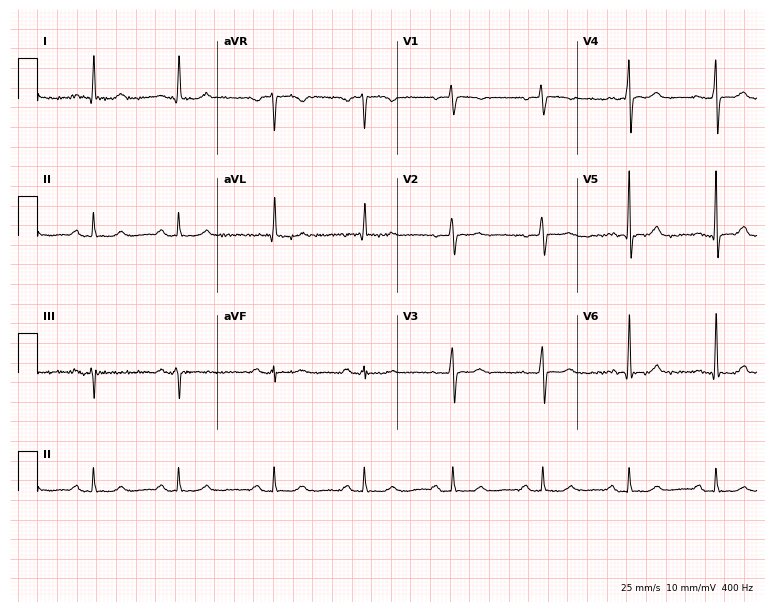
ECG (7.3-second recording at 400 Hz) — a woman, 64 years old. Screened for six findings — first-degree AV block, right bundle branch block, left bundle branch block, sinus bradycardia, atrial fibrillation, sinus tachycardia — none is recorded.